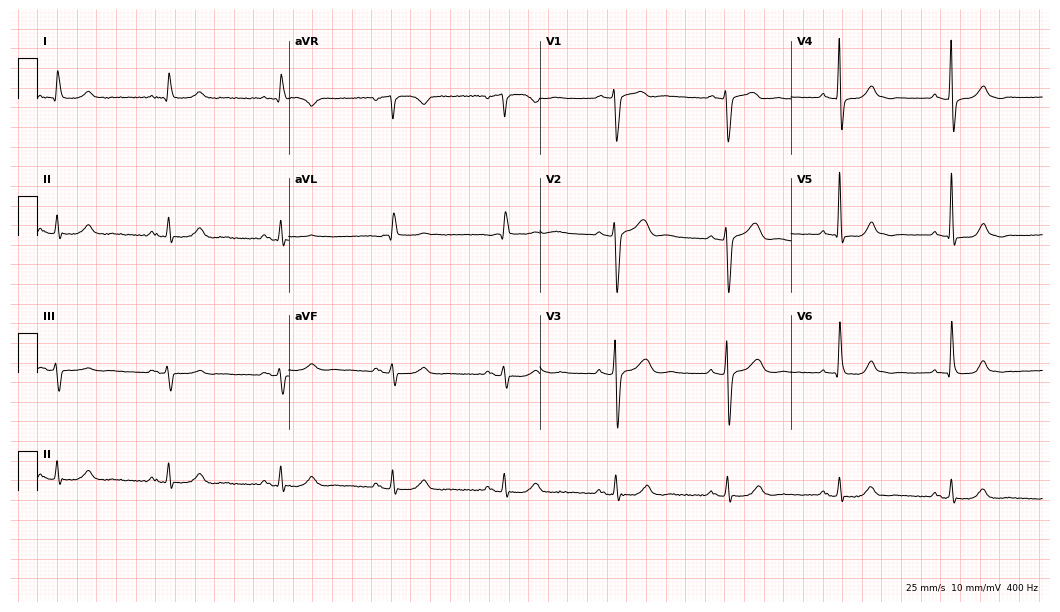
Electrocardiogram, a man, 56 years old. Of the six screened findings (first-degree AV block, right bundle branch block (RBBB), left bundle branch block (LBBB), sinus bradycardia, atrial fibrillation (AF), sinus tachycardia), none is recorded. Findings outside these six are not listed.